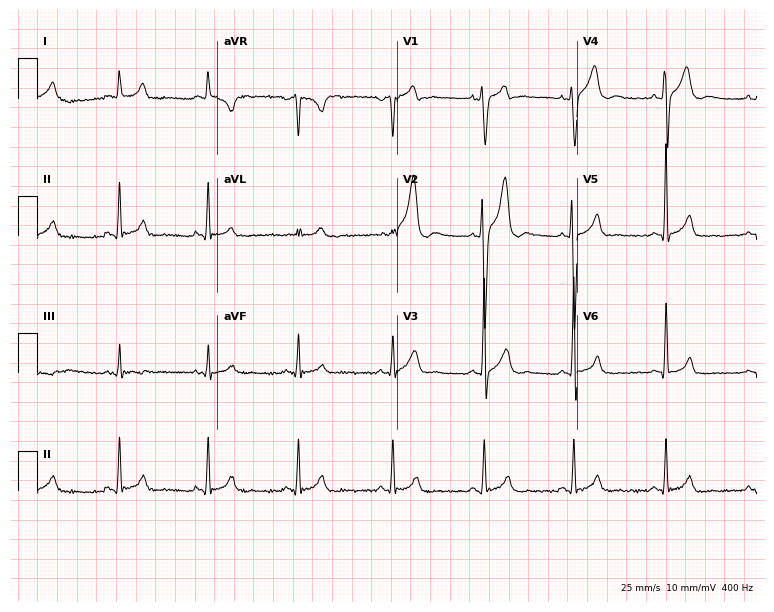
12-lead ECG from a male patient, 26 years old. Recorded interpretation: within normal limits.